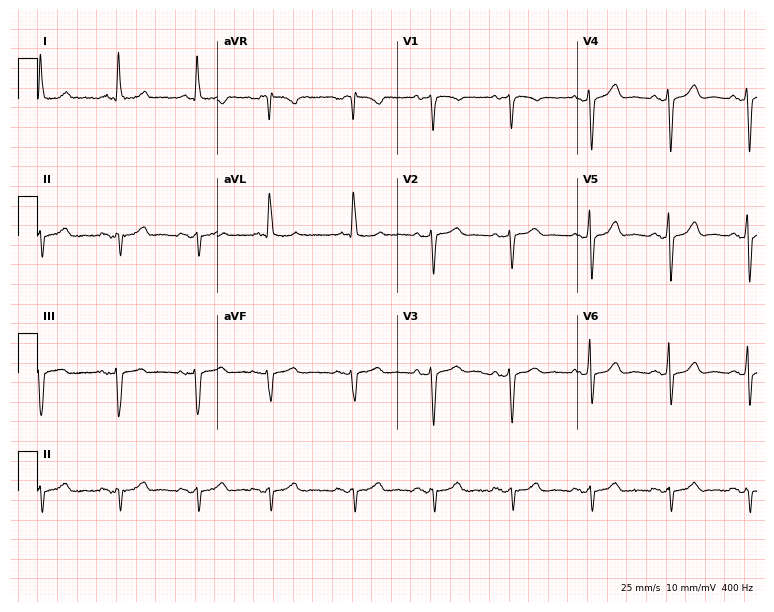
Resting 12-lead electrocardiogram. Patient: a woman, 79 years old. None of these six findings is recorded: first-degree AV block, right bundle branch block (RBBB), left bundle branch block (LBBB), sinus bradycardia, atrial fibrillation (AF), sinus tachycardia.